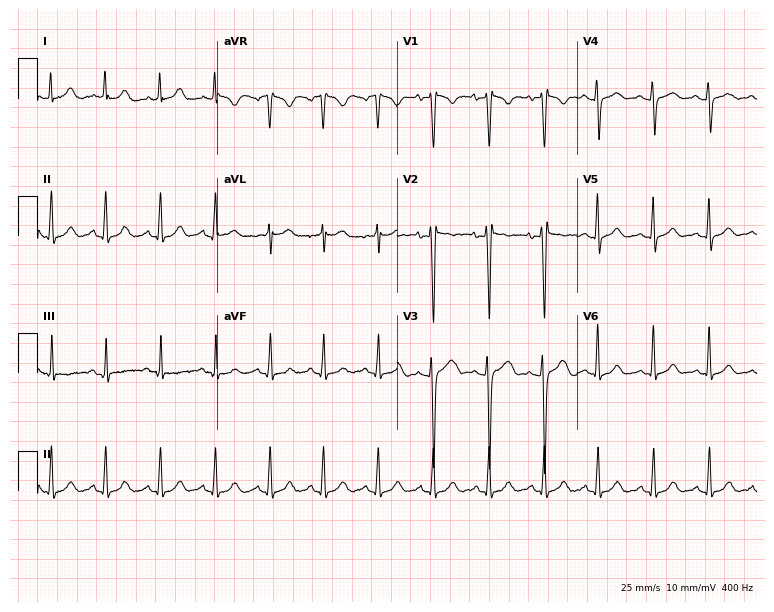
Standard 12-lead ECG recorded from a female, 26 years old. None of these six findings is recorded: first-degree AV block, right bundle branch block, left bundle branch block, sinus bradycardia, atrial fibrillation, sinus tachycardia.